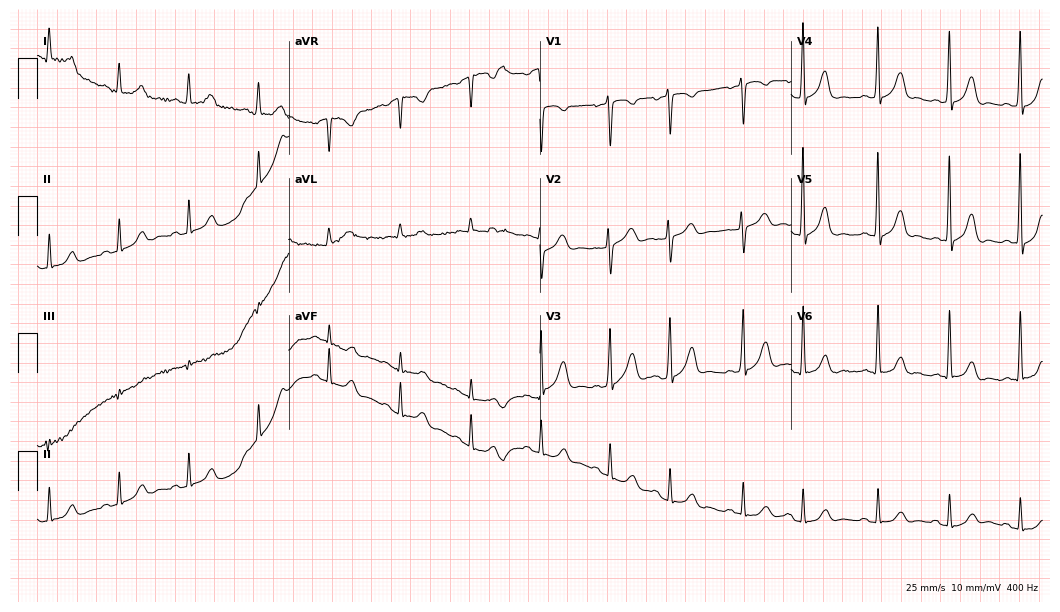
12-lead ECG (10.2-second recording at 400 Hz) from a female, 40 years old. Labelled as a normal ECG.